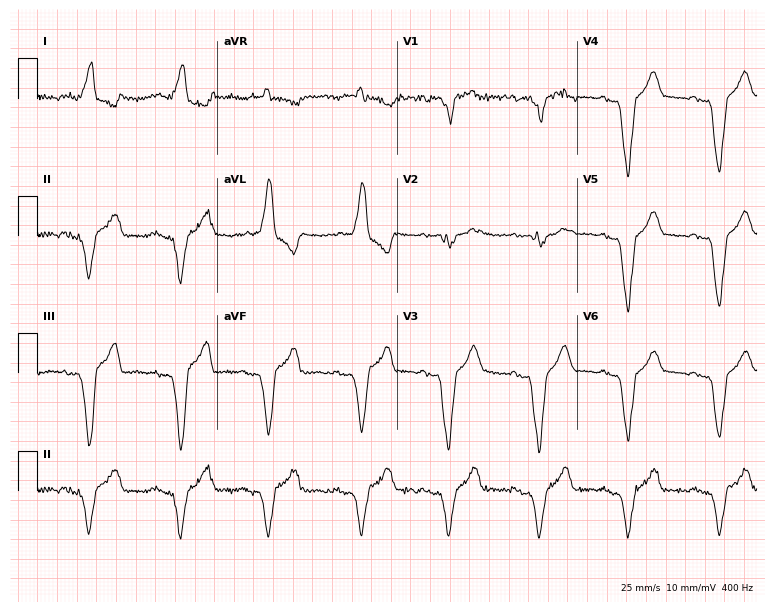
Resting 12-lead electrocardiogram. Patient: a 74-year-old man. None of these six findings is recorded: first-degree AV block, right bundle branch block (RBBB), left bundle branch block (LBBB), sinus bradycardia, atrial fibrillation (AF), sinus tachycardia.